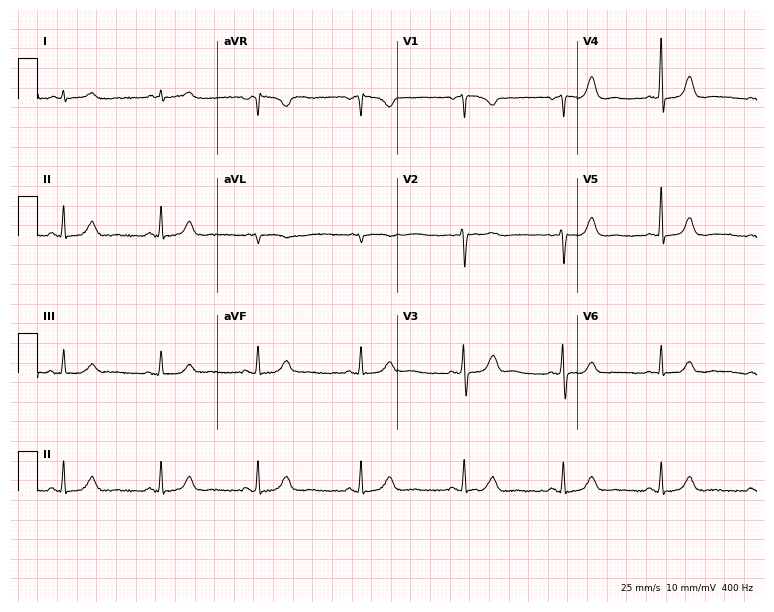
ECG (7.3-second recording at 400 Hz) — a female, 50 years old. Labelled as a normal ECG.